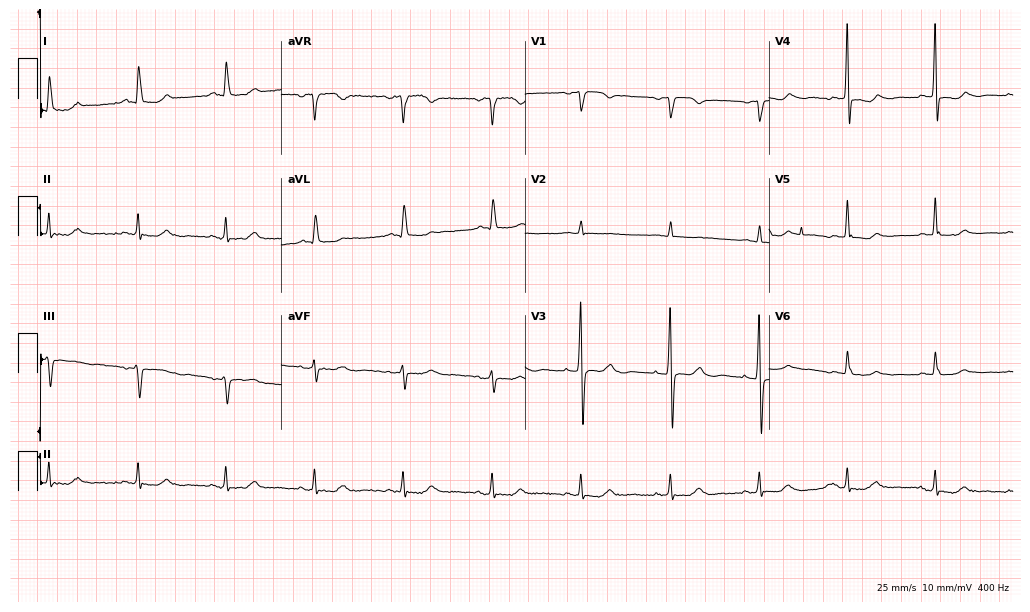
12-lead ECG (9.9-second recording at 400 Hz) from a female patient, 73 years old. Screened for six findings — first-degree AV block, right bundle branch block (RBBB), left bundle branch block (LBBB), sinus bradycardia, atrial fibrillation (AF), sinus tachycardia — none is recorded. Findings outside these six are not listed.